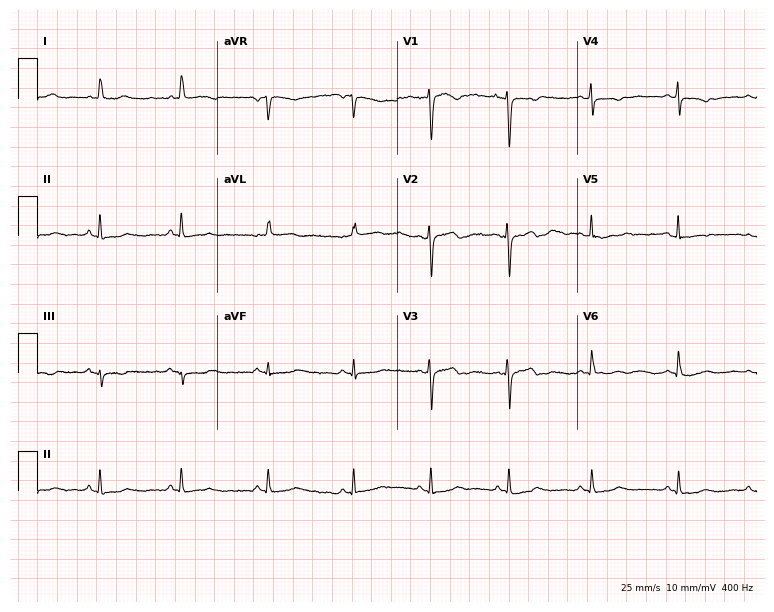
ECG (7.3-second recording at 400 Hz) — a woman, 32 years old. Screened for six findings — first-degree AV block, right bundle branch block (RBBB), left bundle branch block (LBBB), sinus bradycardia, atrial fibrillation (AF), sinus tachycardia — none is recorded.